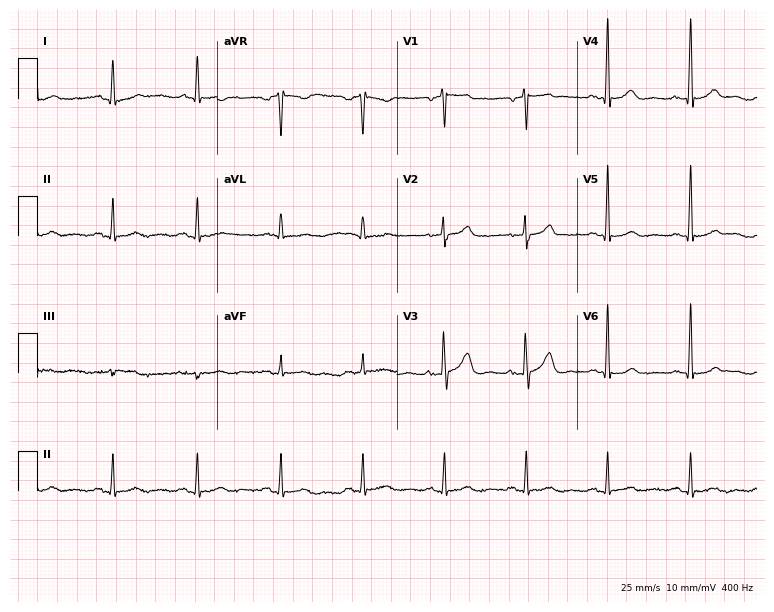
Resting 12-lead electrocardiogram (7.3-second recording at 400 Hz). Patient: a man, 63 years old. None of these six findings is recorded: first-degree AV block, right bundle branch block, left bundle branch block, sinus bradycardia, atrial fibrillation, sinus tachycardia.